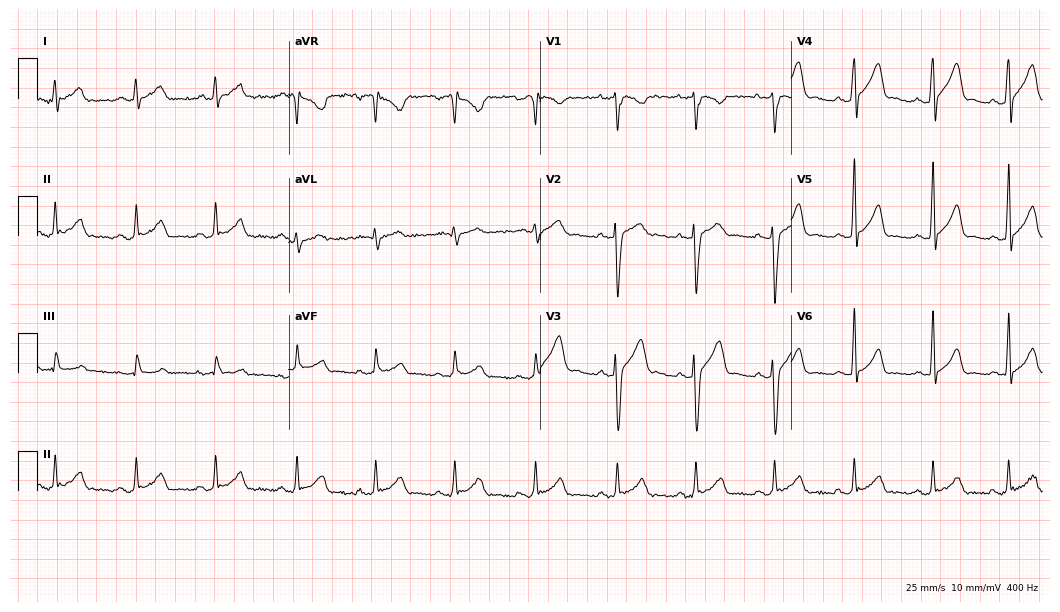
12-lead ECG from a male patient, 19 years old. Recorded interpretation: within normal limits.